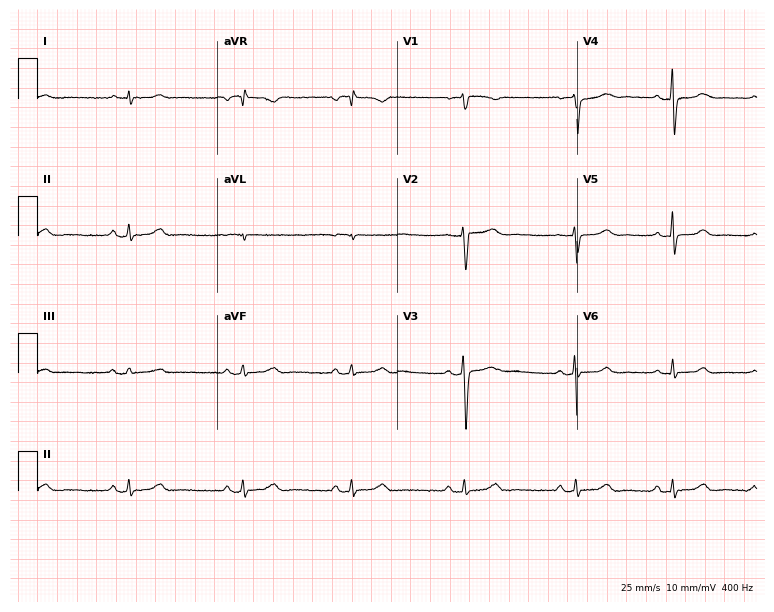
Resting 12-lead electrocardiogram. Patient: a female, 40 years old. Read as a normal ECG.